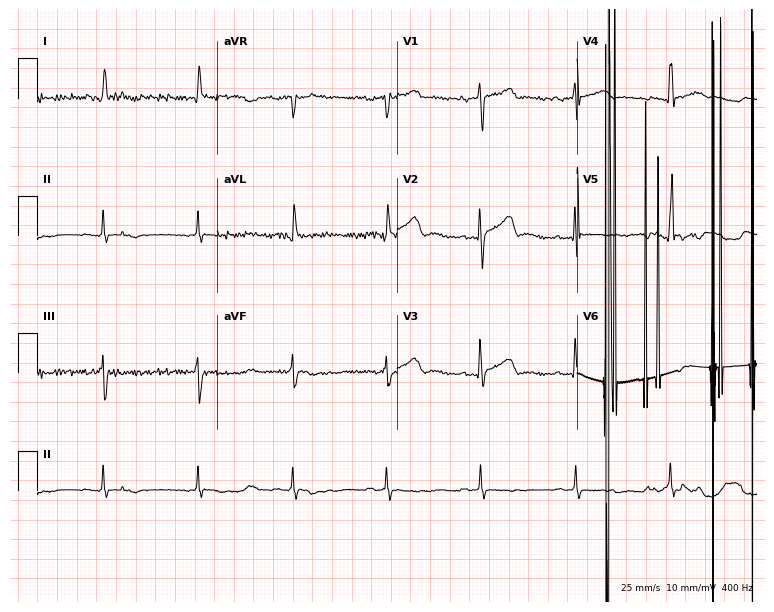
Resting 12-lead electrocardiogram (7.3-second recording at 400 Hz). Patient: a male, 37 years old. None of these six findings is recorded: first-degree AV block, right bundle branch block, left bundle branch block, sinus bradycardia, atrial fibrillation, sinus tachycardia. Findings outside these six are not listed.